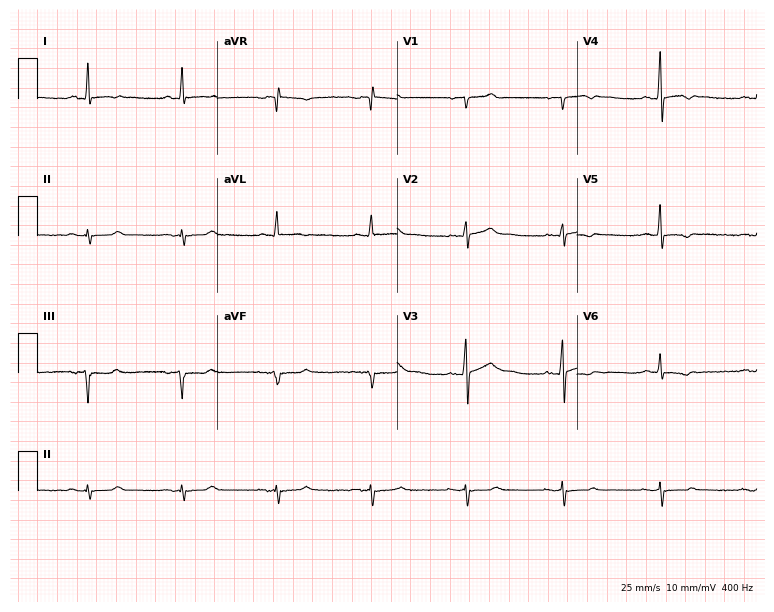
12-lead ECG (7.3-second recording at 400 Hz) from a 64-year-old male patient. Screened for six findings — first-degree AV block, right bundle branch block, left bundle branch block, sinus bradycardia, atrial fibrillation, sinus tachycardia — none is recorded. Other findings, if any, are not listed.